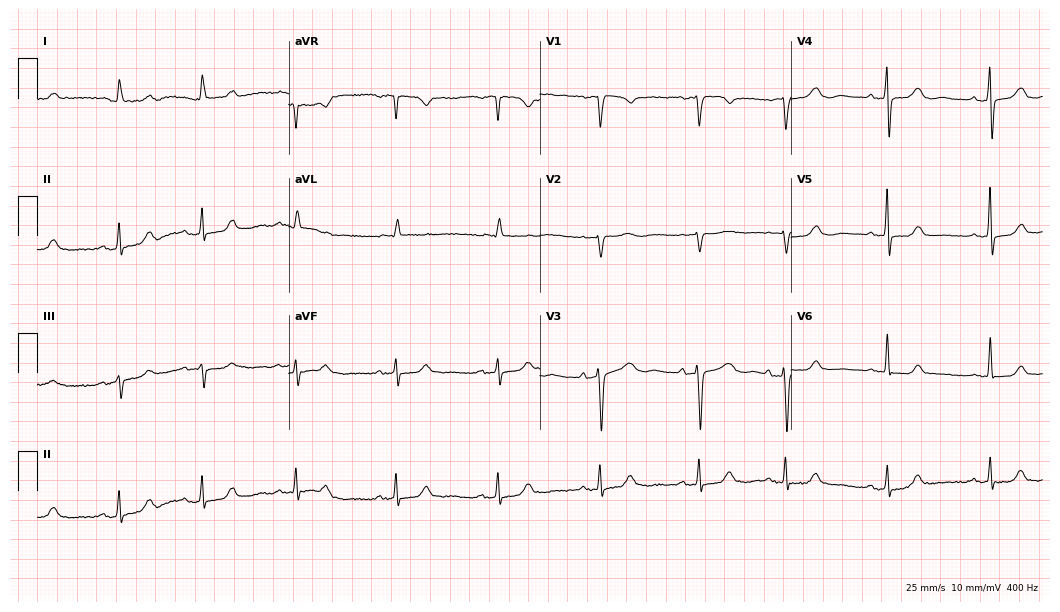
12-lead ECG from an 83-year-old woman (10.2-second recording at 400 Hz). Recorded interpretation: within normal limits.